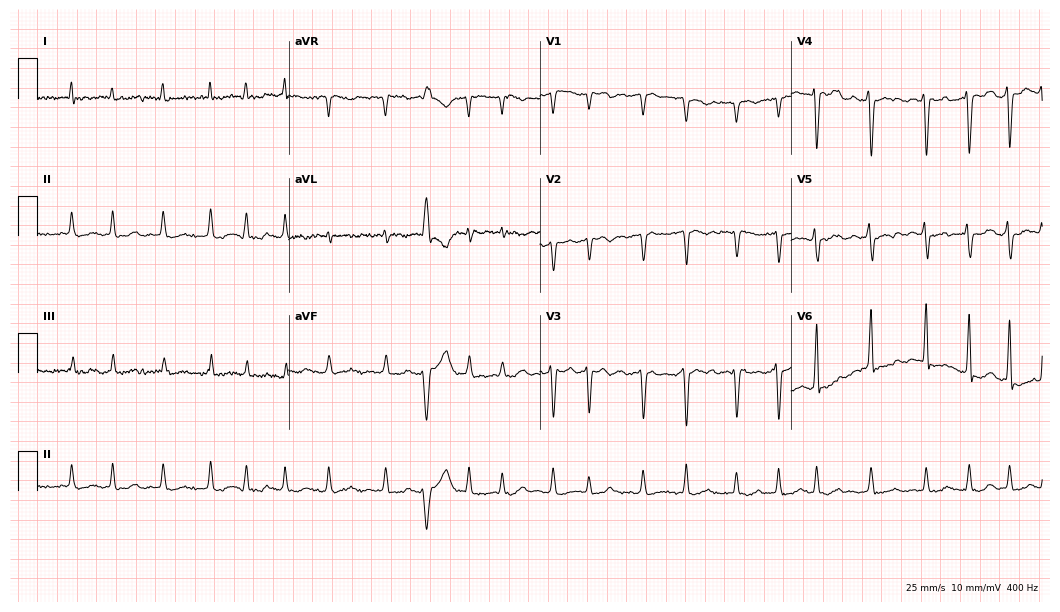
Standard 12-lead ECG recorded from a 72-year-old male (10.2-second recording at 400 Hz). The tracing shows atrial fibrillation.